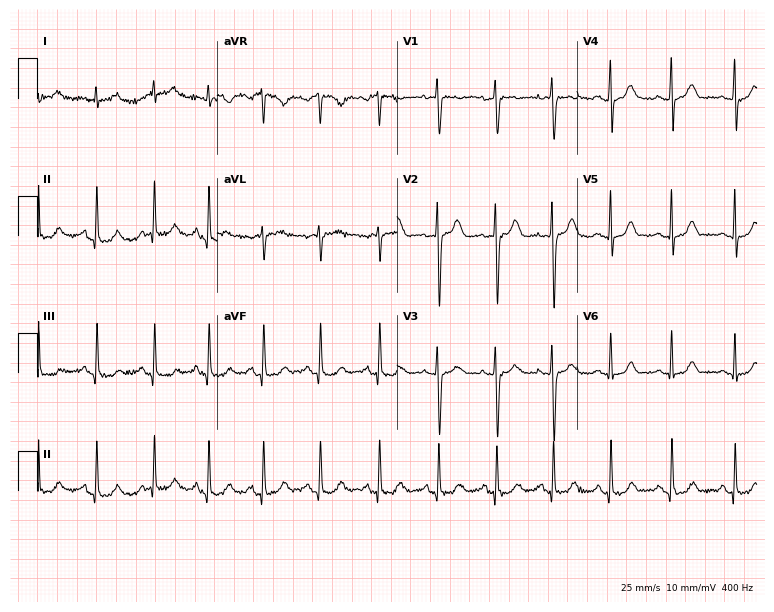
ECG (7.3-second recording at 400 Hz) — a 30-year-old woman. Findings include sinus tachycardia (a sinus rate of 100 beats per minute or more).